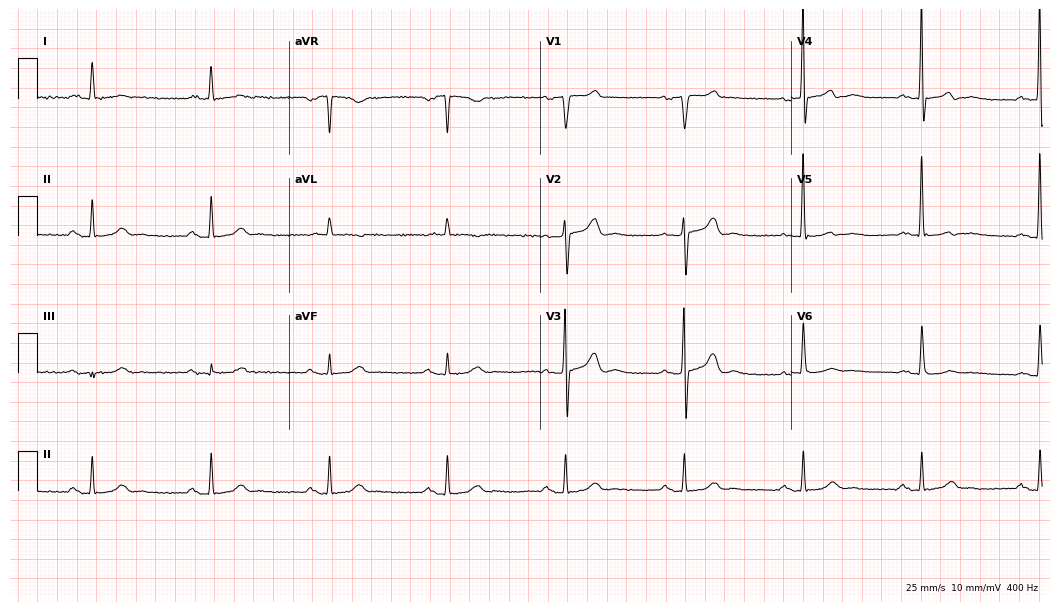
ECG (10.2-second recording at 400 Hz) — an 84-year-old male patient. Findings include sinus bradycardia (a sinus rate of 50 beats per minute or less).